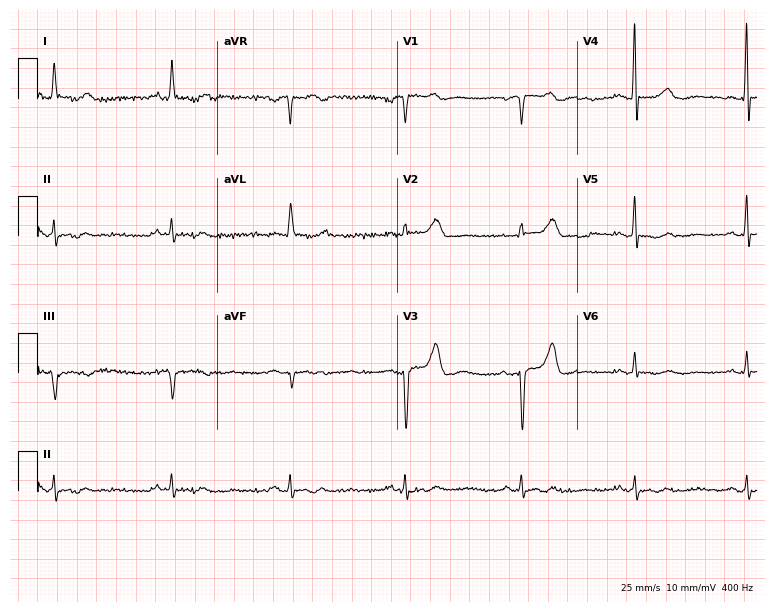
12-lead ECG (7.3-second recording at 400 Hz) from an 84-year-old male. Labelled as a normal ECG.